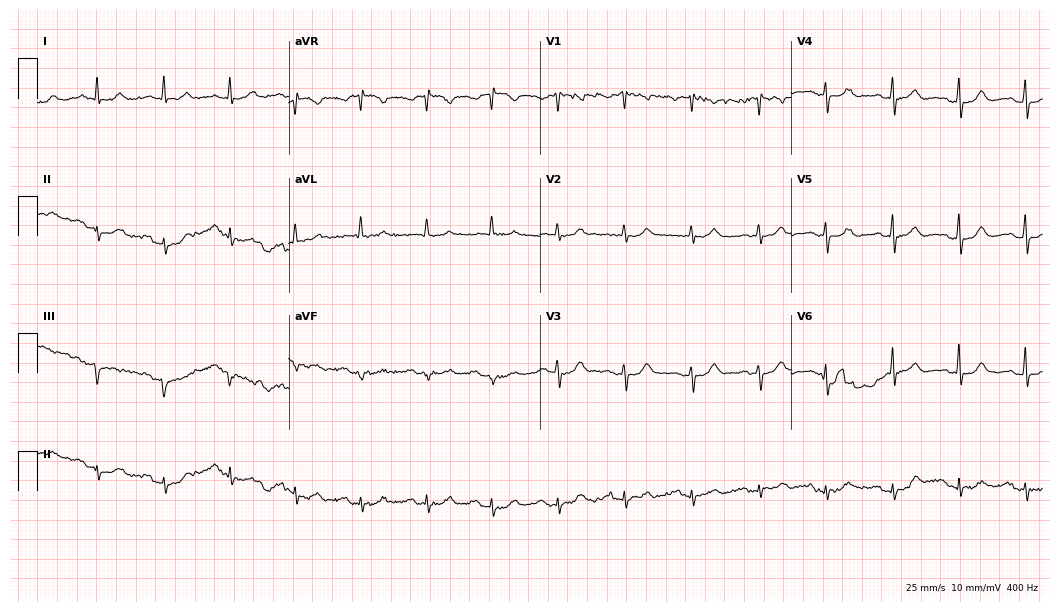
Electrocardiogram, a 75-year-old female. Overall reading on record: normal ECG.